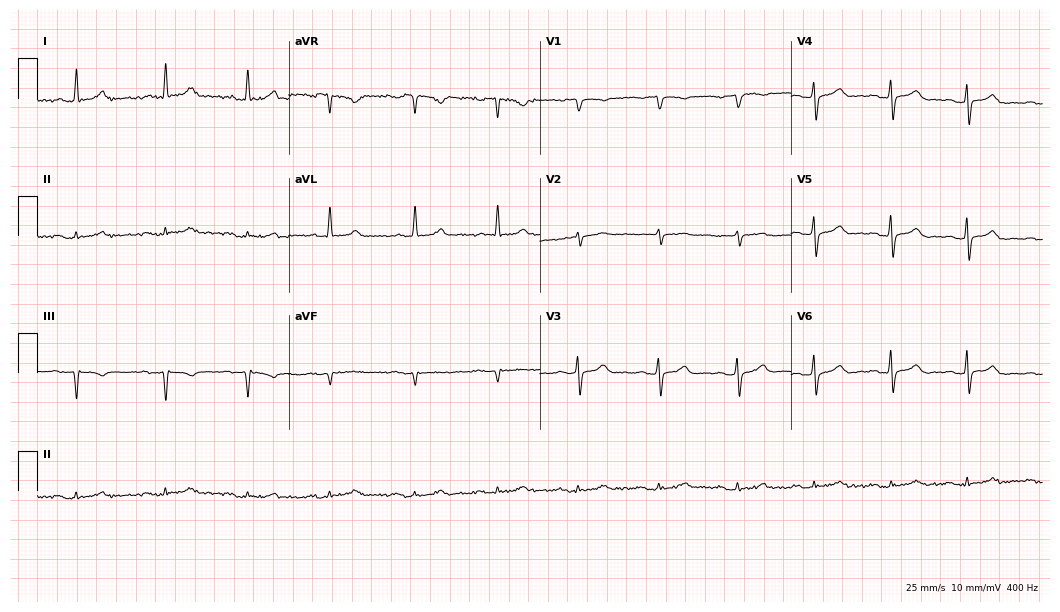
ECG (10.2-second recording at 400 Hz) — a male patient, 71 years old. Screened for six findings — first-degree AV block, right bundle branch block, left bundle branch block, sinus bradycardia, atrial fibrillation, sinus tachycardia — none is recorded.